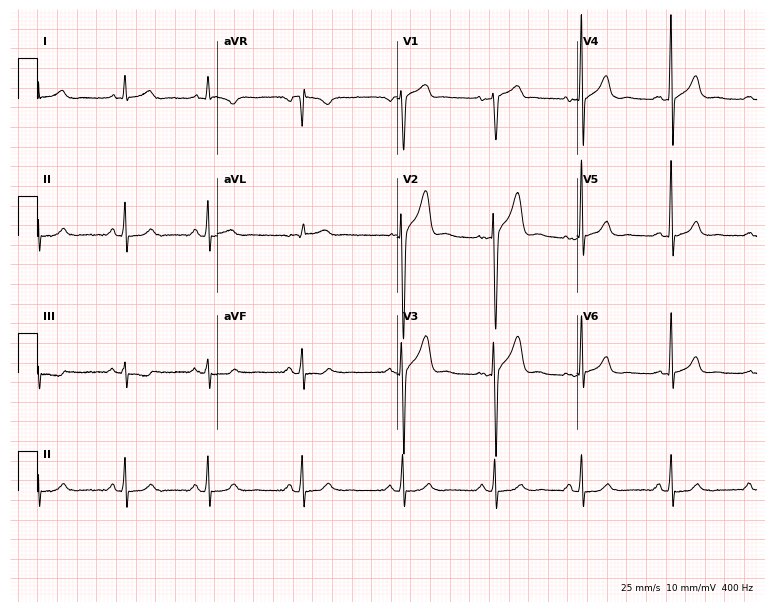
12-lead ECG (7.3-second recording at 400 Hz) from a male patient, 30 years old. Screened for six findings — first-degree AV block, right bundle branch block, left bundle branch block, sinus bradycardia, atrial fibrillation, sinus tachycardia — none is recorded. Only these six findings were labelled.